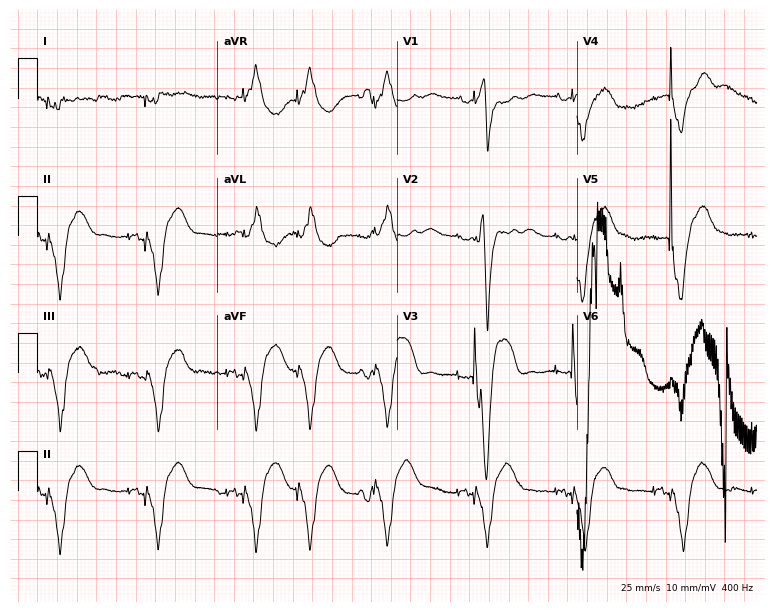
12-lead ECG from a man, 78 years old. Screened for six findings — first-degree AV block, right bundle branch block, left bundle branch block, sinus bradycardia, atrial fibrillation, sinus tachycardia — none is recorded.